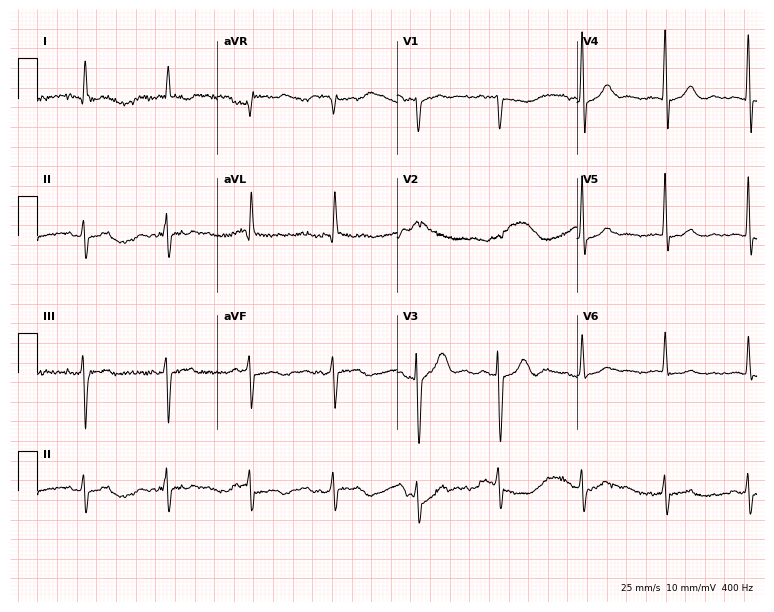
12-lead ECG from an 84-year-old woman. No first-degree AV block, right bundle branch block, left bundle branch block, sinus bradycardia, atrial fibrillation or sinus tachycardia recorded for this tracing.